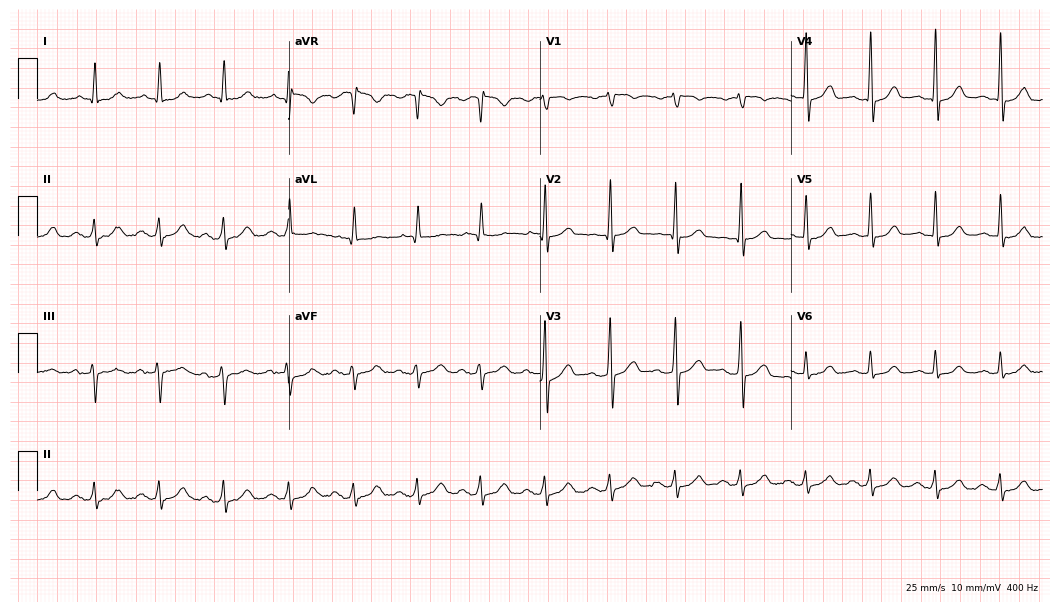
Standard 12-lead ECG recorded from a male patient, 70 years old. None of these six findings is recorded: first-degree AV block, right bundle branch block (RBBB), left bundle branch block (LBBB), sinus bradycardia, atrial fibrillation (AF), sinus tachycardia.